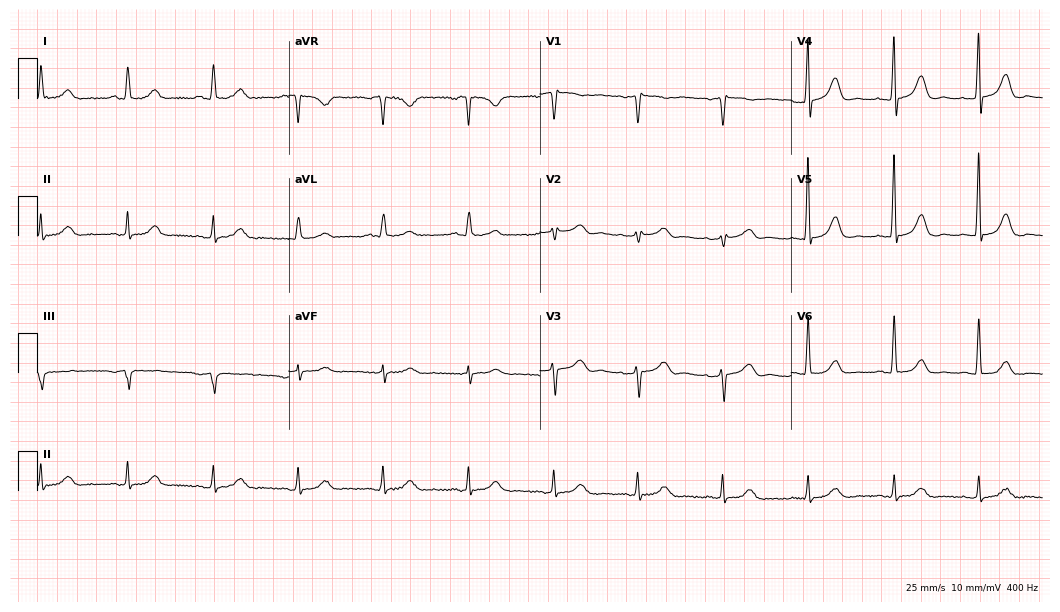
Electrocardiogram (10.2-second recording at 400 Hz), a female patient, 80 years old. Overall reading on record: normal ECG.